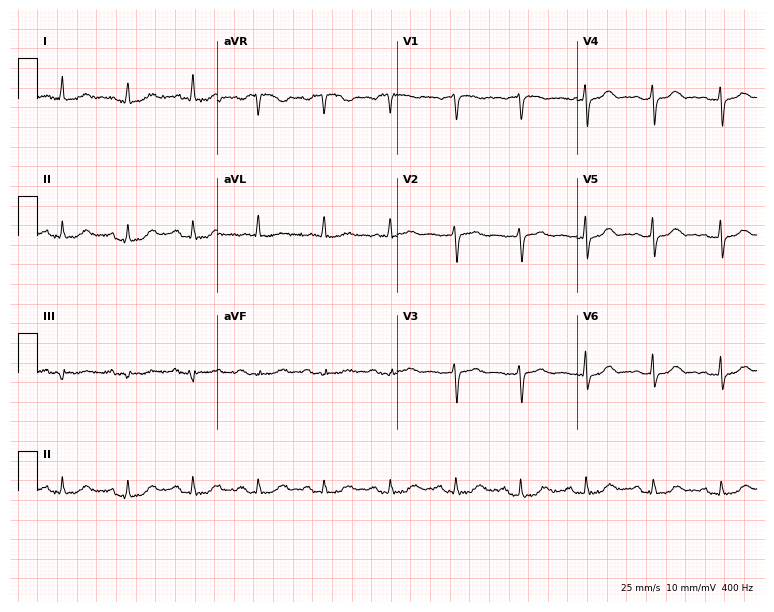
12-lead ECG from a woman, 79 years old. Screened for six findings — first-degree AV block, right bundle branch block, left bundle branch block, sinus bradycardia, atrial fibrillation, sinus tachycardia — none is recorded. Other findings, if any, are not listed.